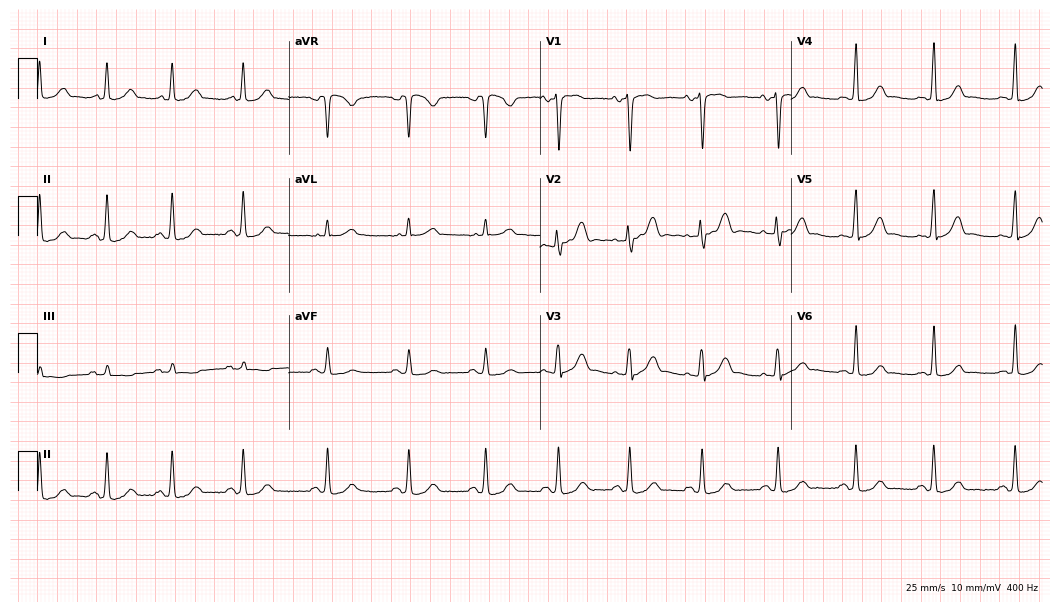
Standard 12-lead ECG recorded from a 49-year-old woman. None of these six findings is recorded: first-degree AV block, right bundle branch block, left bundle branch block, sinus bradycardia, atrial fibrillation, sinus tachycardia. Only these six findings were labelled.